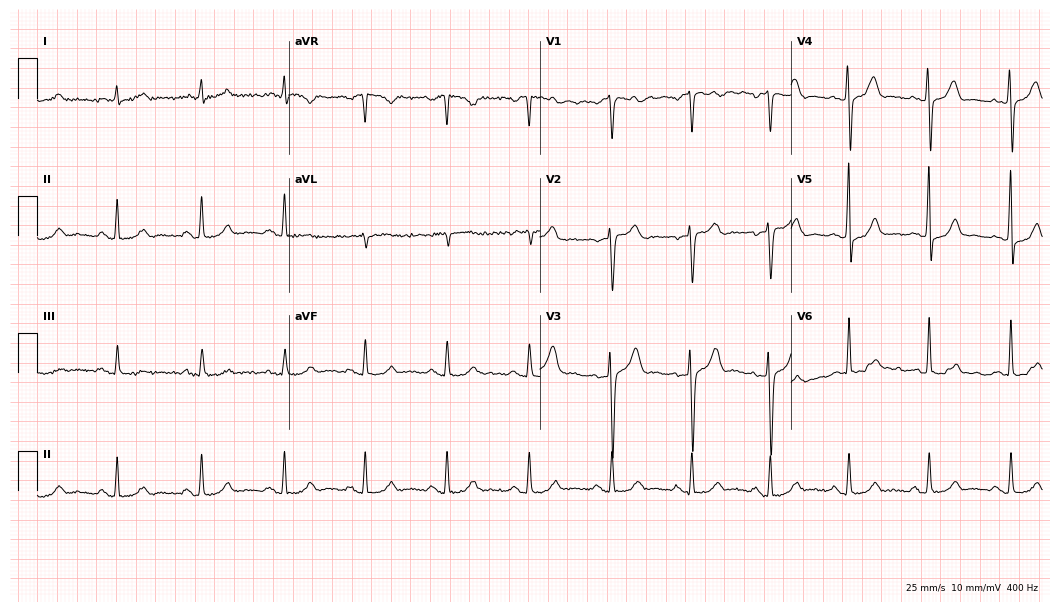
12-lead ECG from a 40-year-old female patient (10.2-second recording at 400 Hz). Recorded interpretation: within normal limits.